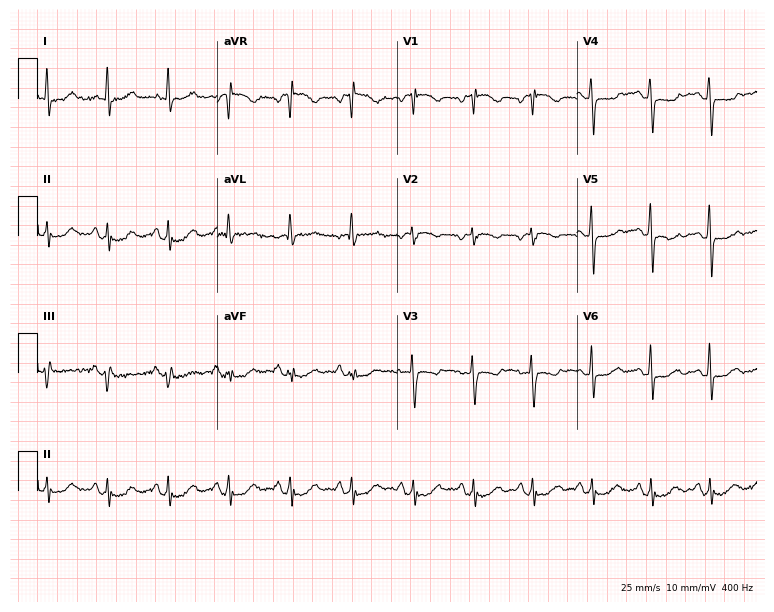
12-lead ECG from a 56-year-old woman. Screened for six findings — first-degree AV block, right bundle branch block (RBBB), left bundle branch block (LBBB), sinus bradycardia, atrial fibrillation (AF), sinus tachycardia — none is recorded.